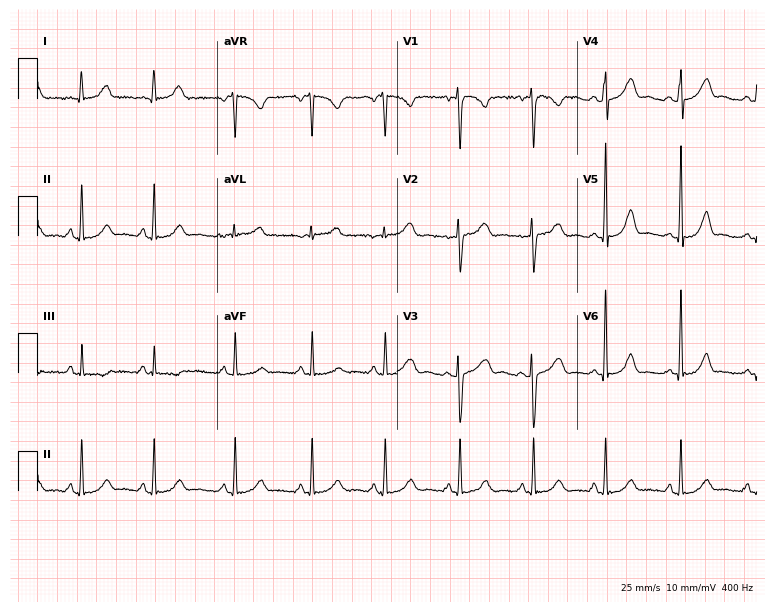
Electrocardiogram, a man, 26 years old. Overall reading on record: normal ECG.